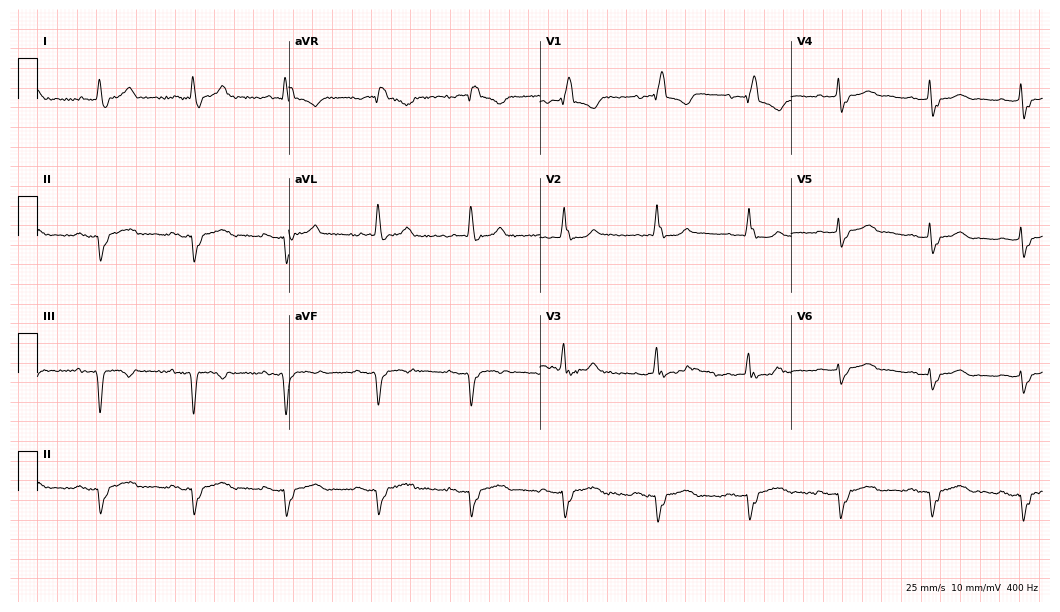
ECG — a female, 76 years old. Findings include first-degree AV block, right bundle branch block (RBBB).